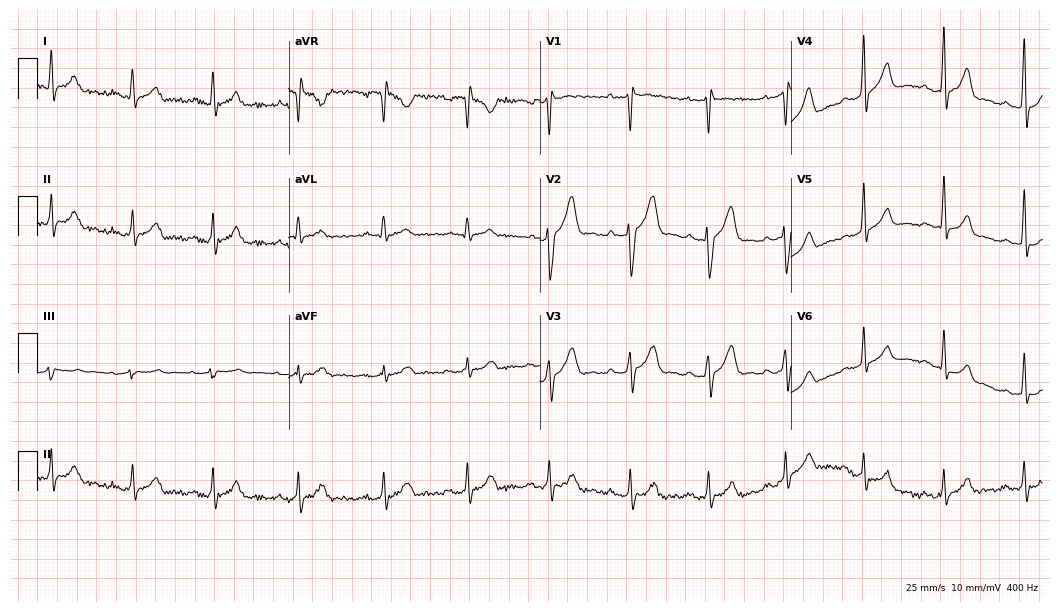
Electrocardiogram, a male patient, 52 years old. Overall reading on record: normal ECG.